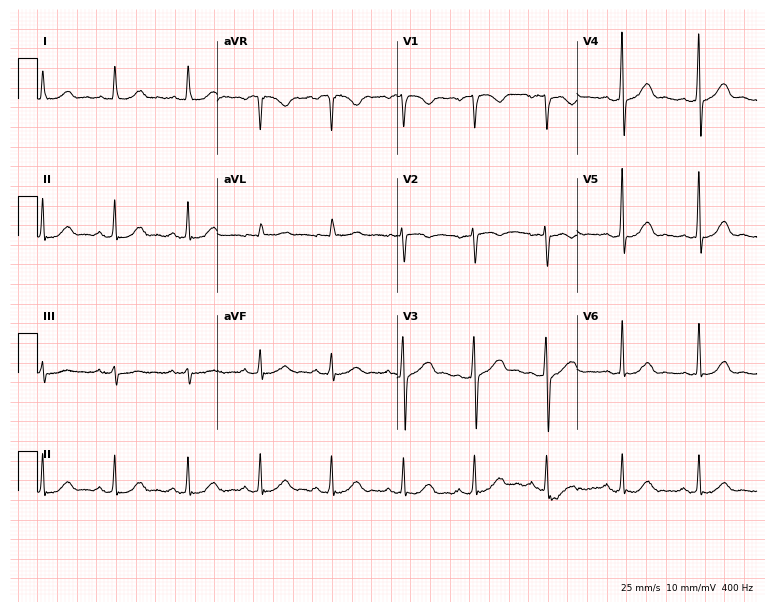
Standard 12-lead ECG recorded from a male patient, 35 years old. None of these six findings is recorded: first-degree AV block, right bundle branch block (RBBB), left bundle branch block (LBBB), sinus bradycardia, atrial fibrillation (AF), sinus tachycardia.